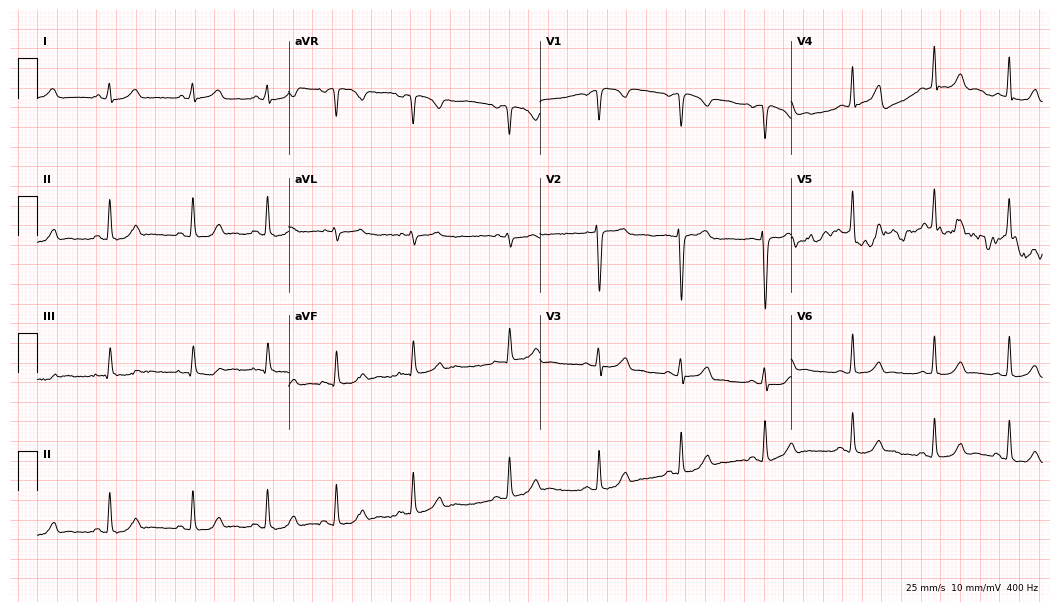
Resting 12-lead electrocardiogram (10.2-second recording at 400 Hz). Patient: a female, 23 years old. None of these six findings is recorded: first-degree AV block, right bundle branch block, left bundle branch block, sinus bradycardia, atrial fibrillation, sinus tachycardia. Findings outside these six are not listed.